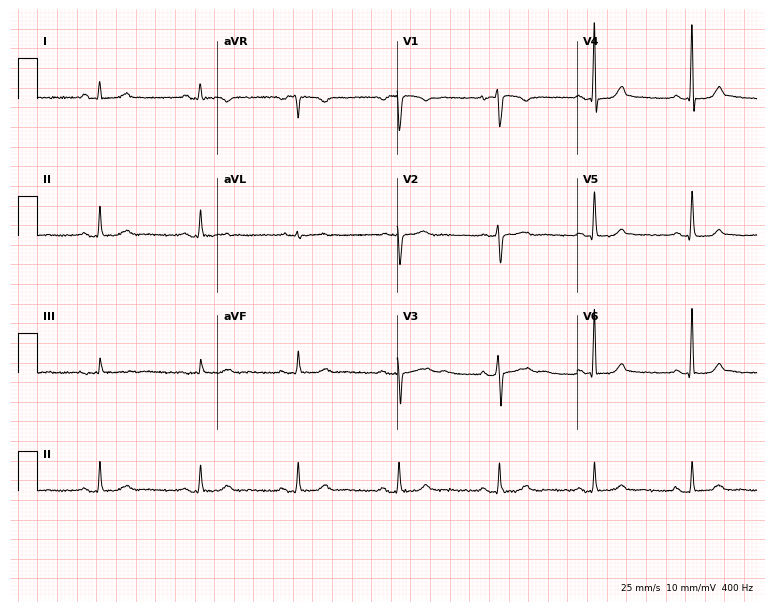
12-lead ECG from a 34-year-old female (7.3-second recording at 400 Hz). No first-degree AV block, right bundle branch block, left bundle branch block, sinus bradycardia, atrial fibrillation or sinus tachycardia recorded for this tracing.